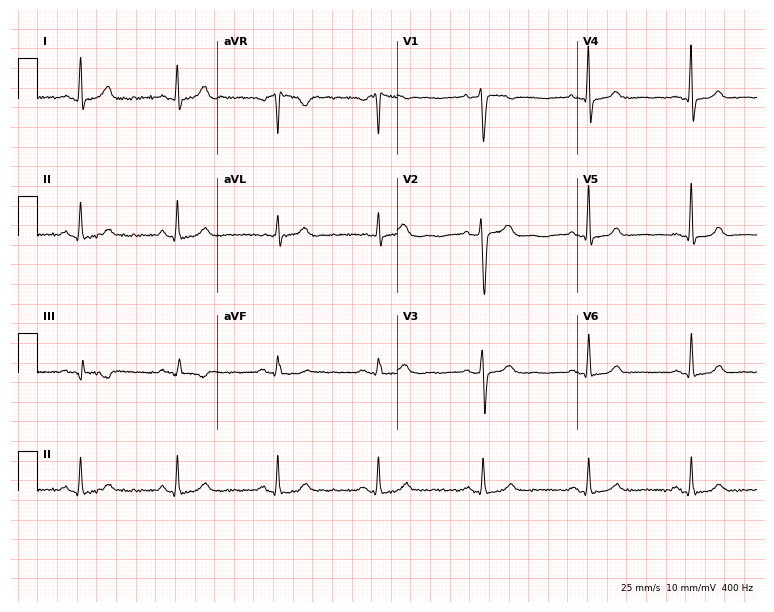
Standard 12-lead ECG recorded from a 51-year-old female patient. Read as a normal ECG.